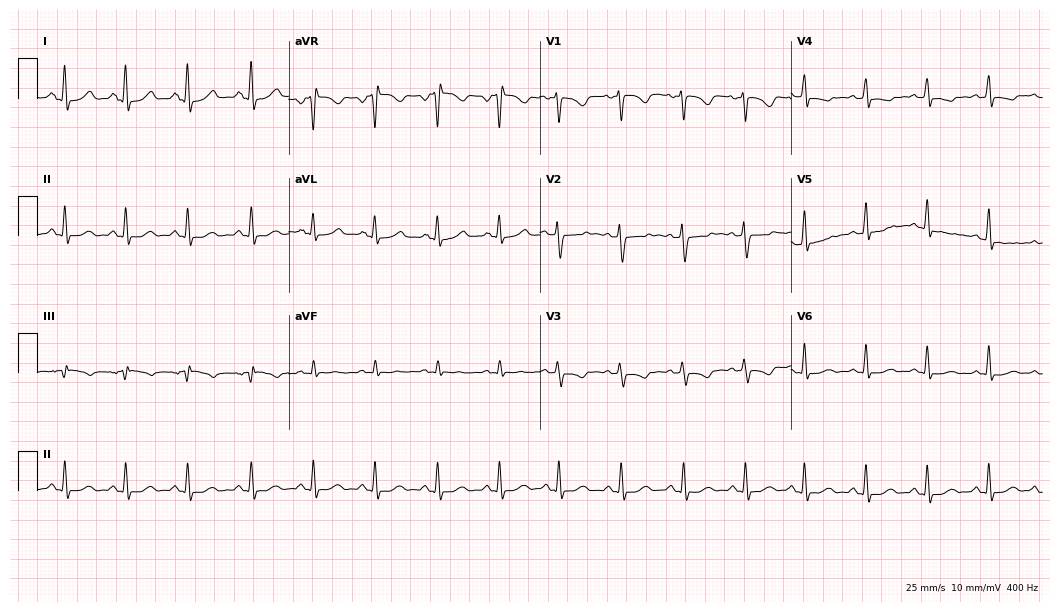
12-lead ECG from a 30-year-old female patient (10.2-second recording at 400 Hz). Recorded interpretation: within normal limits.